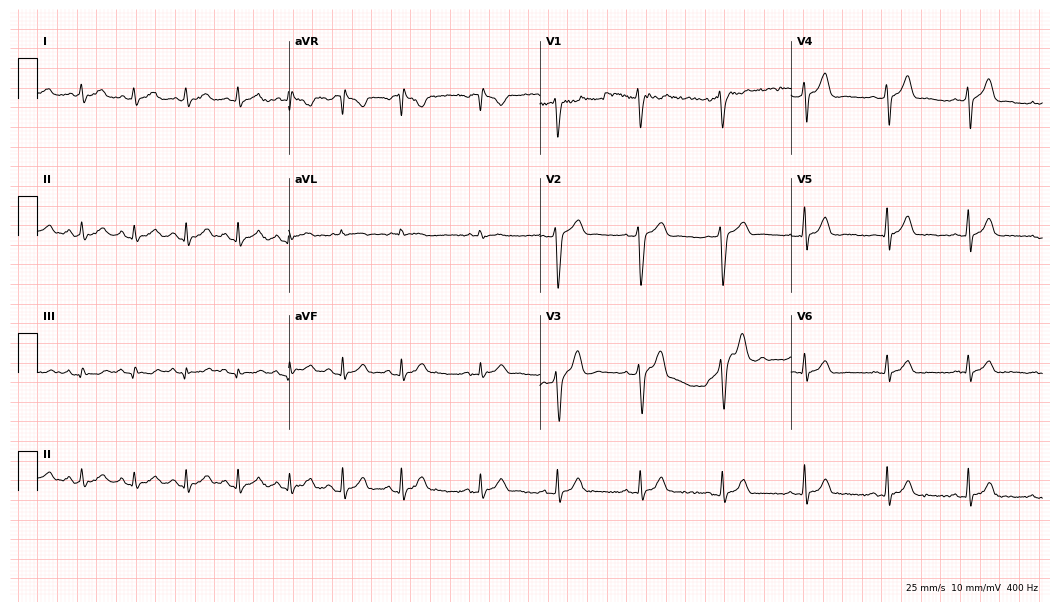
Standard 12-lead ECG recorded from a 33-year-old man. Read as a normal ECG.